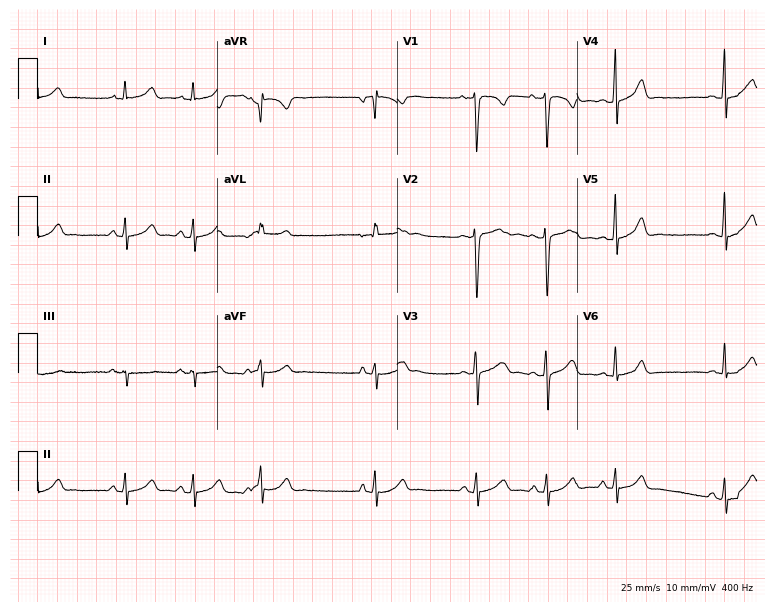
Standard 12-lead ECG recorded from a woman, 23 years old (7.3-second recording at 400 Hz). Read as a normal ECG.